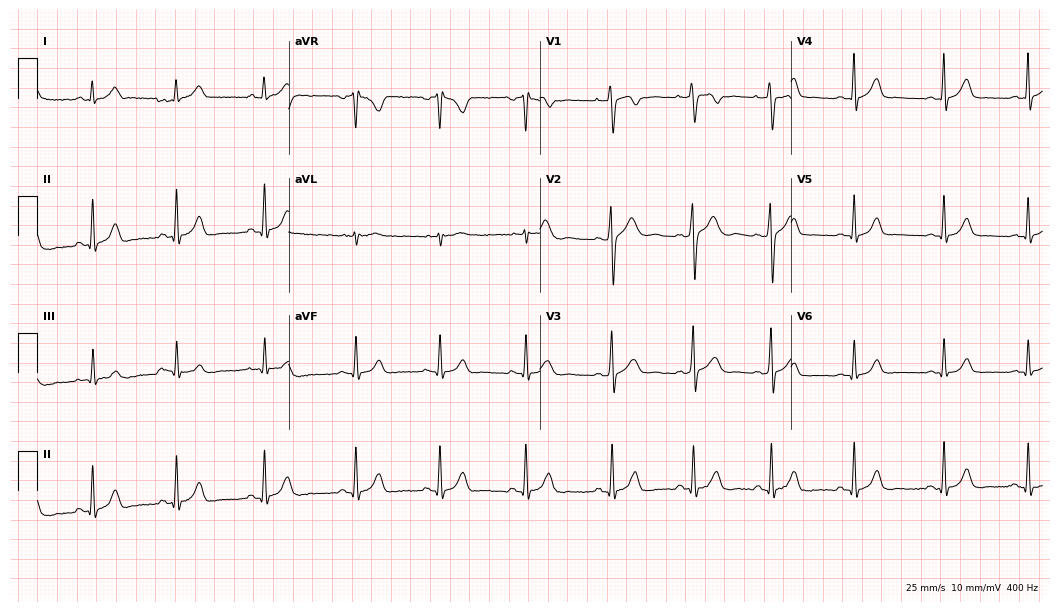
Electrocardiogram (10.2-second recording at 400 Hz), a female patient, 19 years old. Overall reading on record: normal ECG.